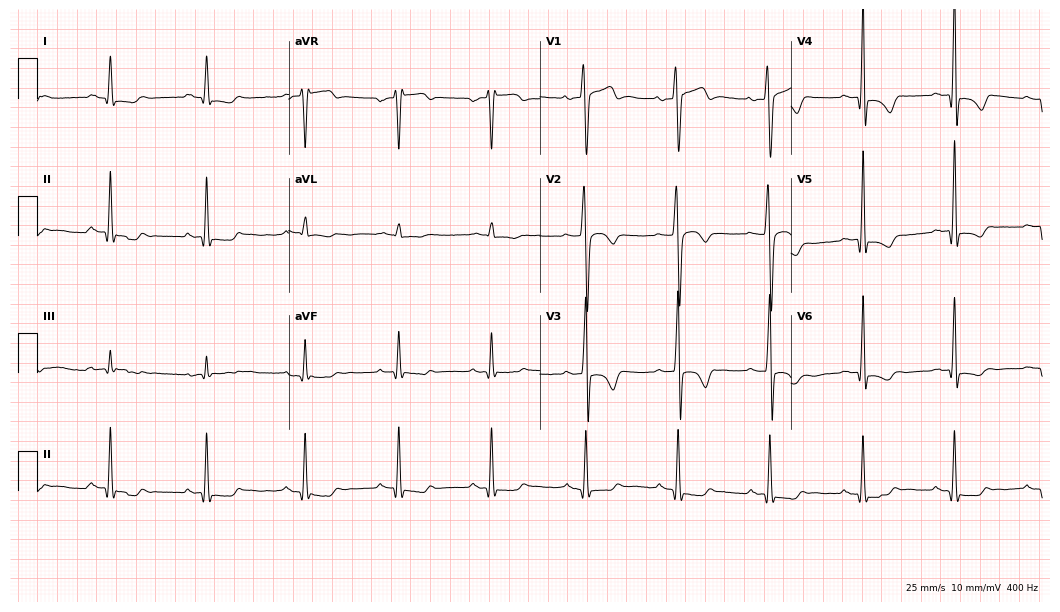
12-lead ECG from a man, 23 years old. Screened for six findings — first-degree AV block, right bundle branch block (RBBB), left bundle branch block (LBBB), sinus bradycardia, atrial fibrillation (AF), sinus tachycardia — none is recorded.